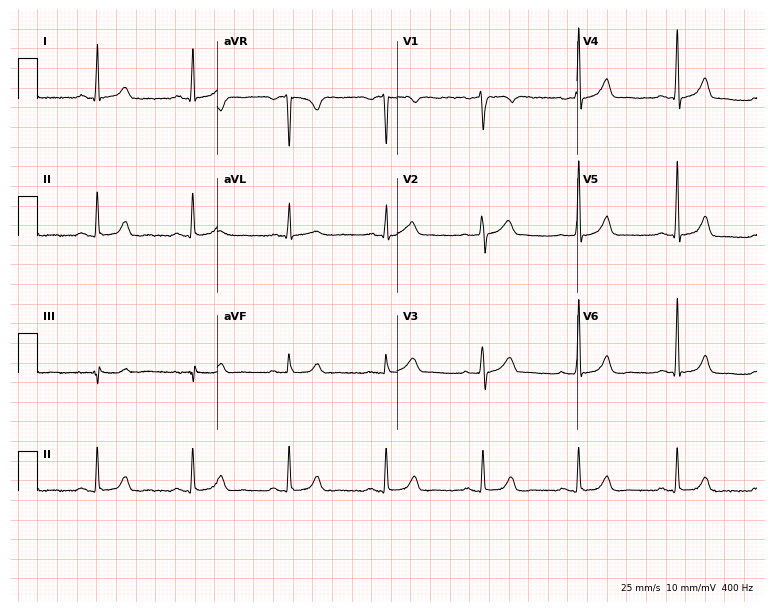
ECG — a female patient, 37 years old. Labelled as a normal ECG.